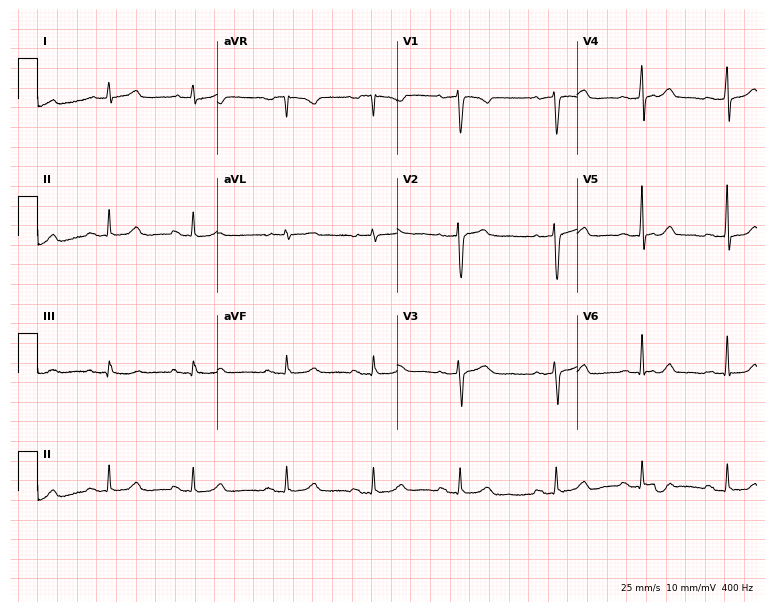
Electrocardiogram, a woman, 40 years old. Overall reading on record: normal ECG.